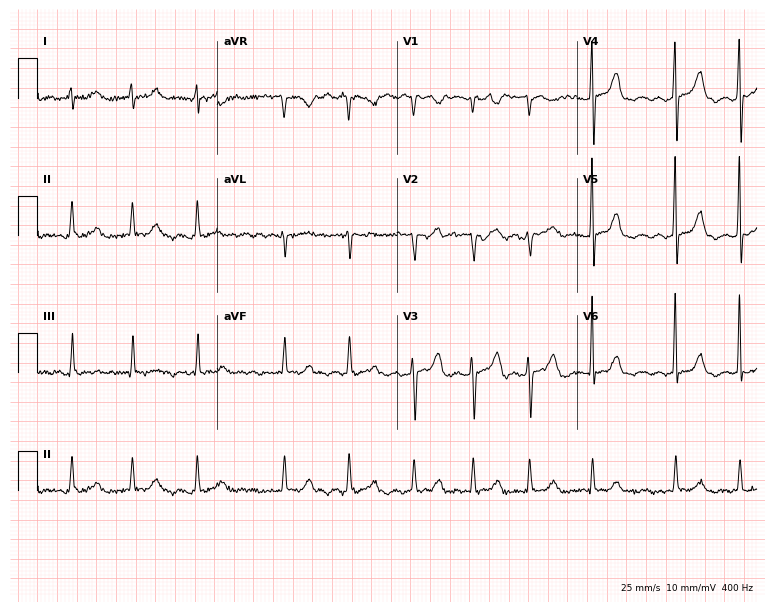
12-lead ECG (7.3-second recording at 400 Hz) from a woman, 58 years old. Findings include atrial fibrillation (AF).